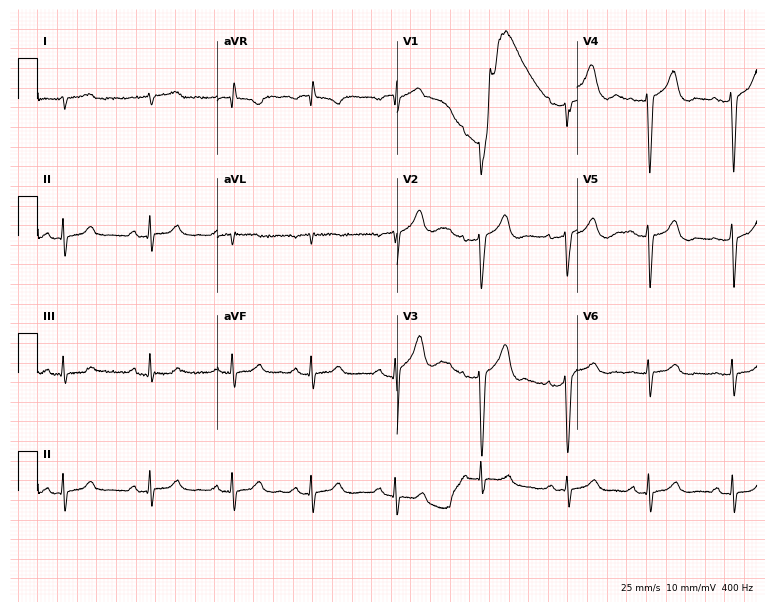
Resting 12-lead electrocardiogram. Patient: a 75-year-old female. None of these six findings is recorded: first-degree AV block, right bundle branch block (RBBB), left bundle branch block (LBBB), sinus bradycardia, atrial fibrillation (AF), sinus tachycardia.